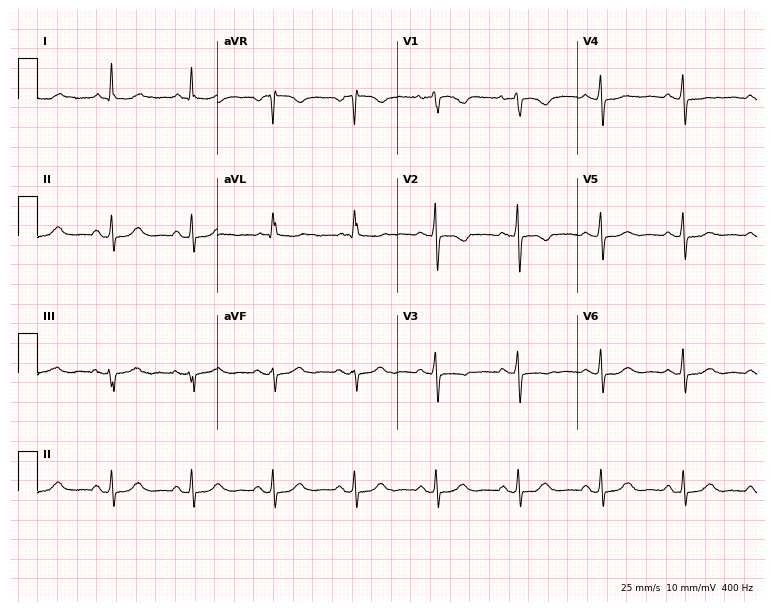
Resting 12-lead electrocardiogram (7.3-second recording at 400 Hz). Patient: a 65-year-old woman. None of these six findings is recorded: first-degree AV block, right bundle branch block (RBBB), left bundle branch block (LBBB), sinus bradycardia, atrial fibrillation (AF), sinus tachycardia. Findings outside these six are not listed.